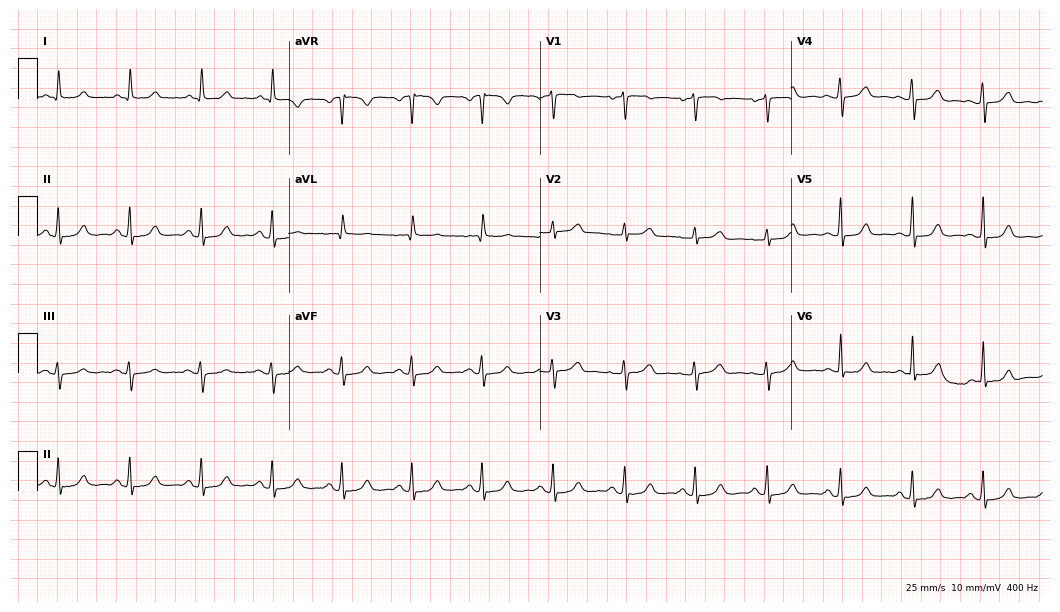
Electrocardiogram, a 57-year-old female patient. Of the six screened findings (first-degree AV block, right bundle branch block (RBBB), left bundle branch block (LBBB), sinus bradycardia, atrial fibrillation (AF), sinus tachycardia), none is recorded. Only these six findings were labelled.